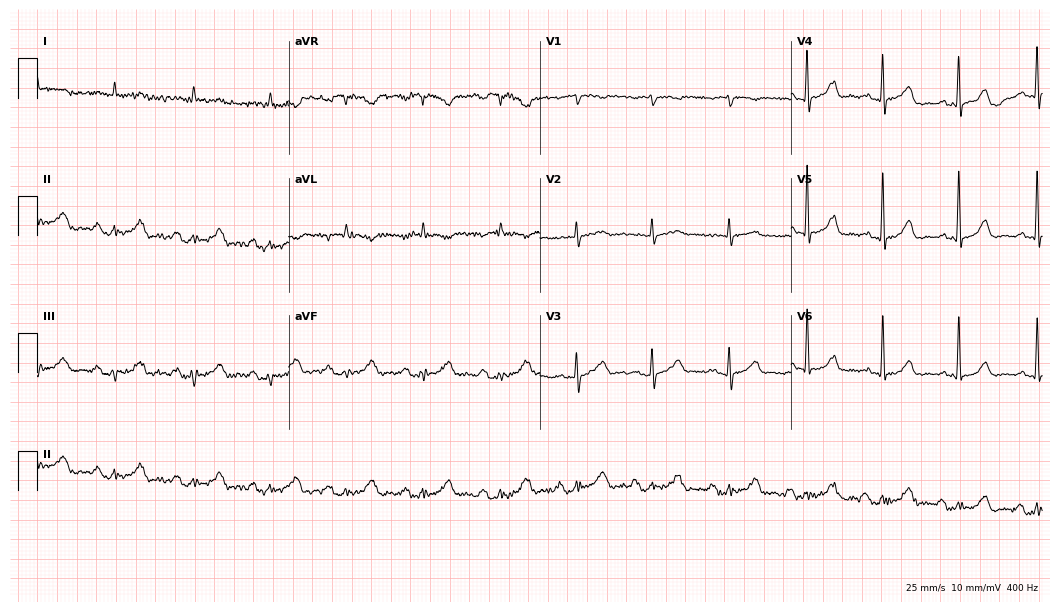
Electrocardiogram (10.2-second recording at 400 Hz), a male patient, 78 years old. Of the six screened findings (first-degree AV block, right bundle branch block, left bundle branch block, sinus bradycardia, atrial fibrillation, sinus tachycardia), none is recorded. Only these six findings were labelled.